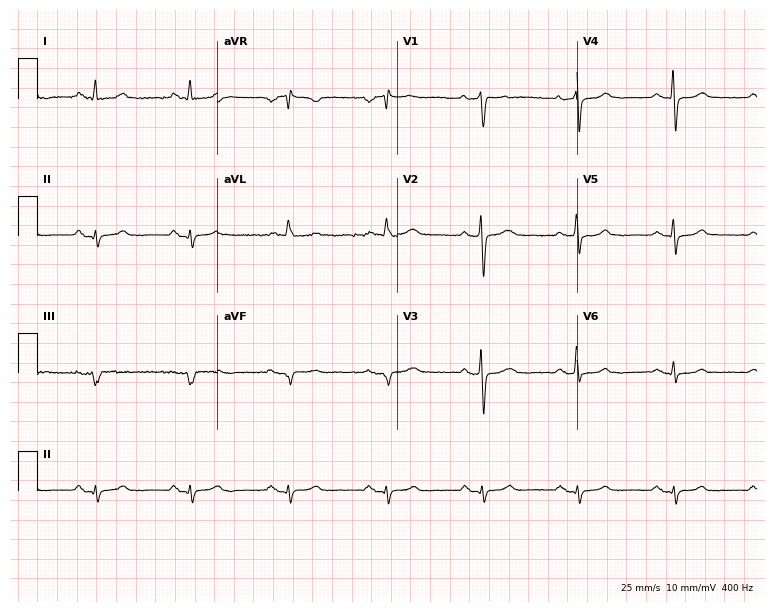
Standard 12-lead ECG recorded from a 60-year-old female (7.3-second recording at 400 Hz). None of these six findings is recorded: first-degree AV block, right bundle branch block, left bundle branch block, sinus bradycardia, atrial fibrillation, sinus tachycardia.